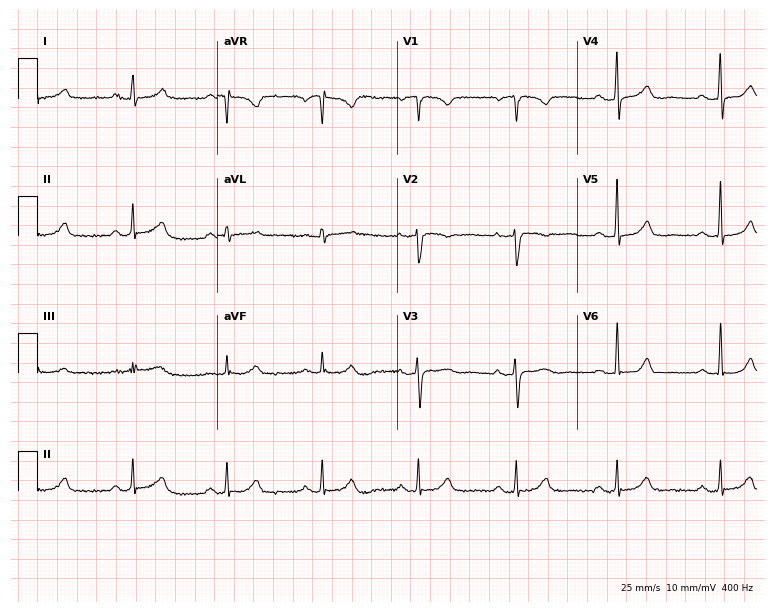
Electrocardiogram (7.3-second recording at 400 Hz), a 58-year-old female. Of the six screened findings (first-degree AV block, right bundle branch block (RBBB), left bundle branch block (LBBB), sinus bradycardia, atrial fibrillation (AF), sinus tachycardia), none is recorded. Other findings, if any, are not listed.